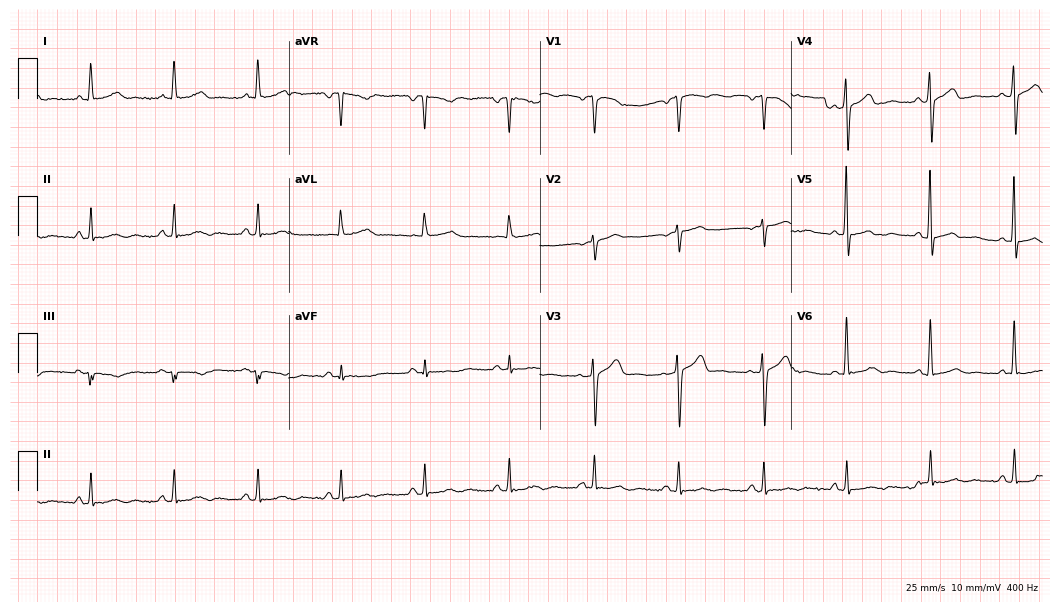
Electrocardiogram (10.2-second recording at 400 Hz), a male patient, 53 years old. Of the six screened findings (first-degree AV block, right bundle branch block, left bundle branch block, sinus bradycardia, atrial fibrillation, sinus tachycardia), none is recorded.